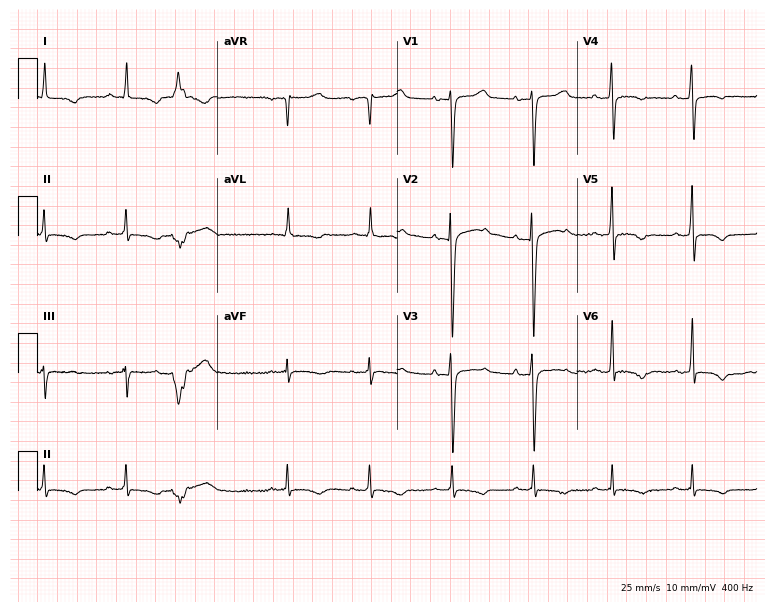
12-lead ECG from a 74-year-old man. No first-degree AV block, right bundle branch block (RBBB), left bundle branch block (LBBB), sinus bradycardia, atrial fibrillation (AF) or sinus tachycardia recorded for this tracing.